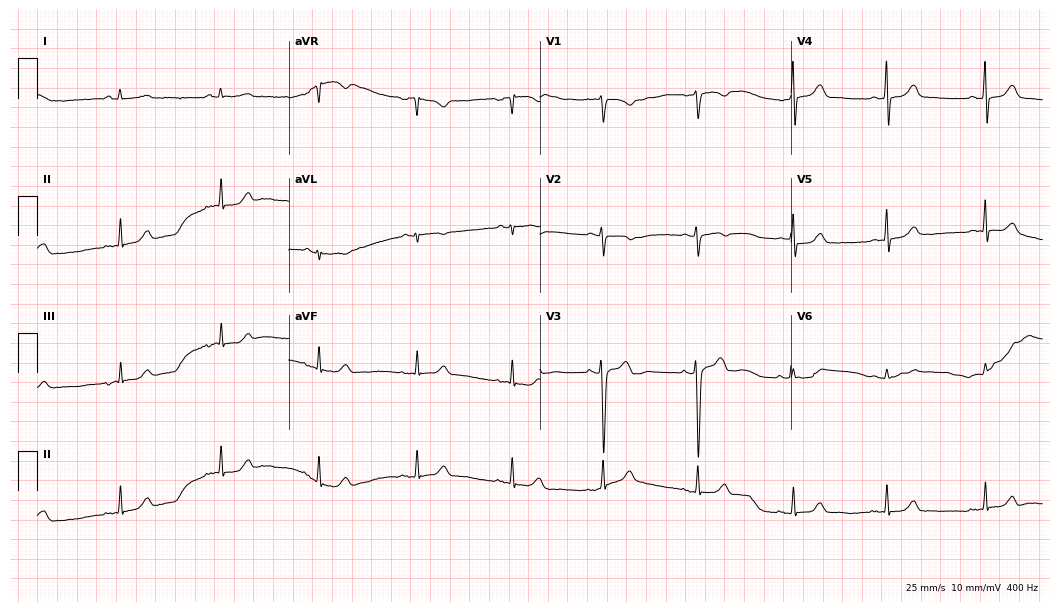
Electrocardiogram, a 30-year-old female patient. Overall reading on record: normal ECG.